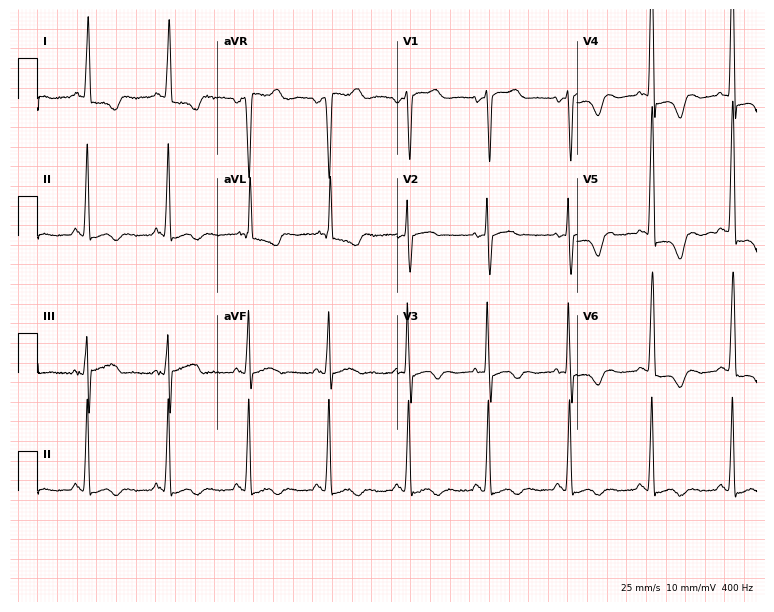
12-lead ECG from a female patient, 73 years old. Screened for six findings — first-degree AV block, right bundle branch block, left bundle branch block, sinus bradycardia, atrial fibrillation, sinus tachycardia — none is recorded.